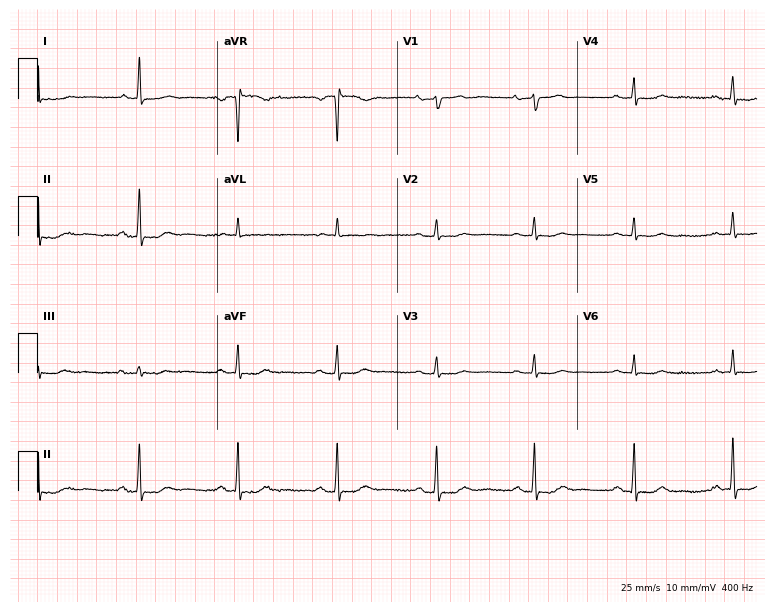
ECG (7.3-second recording at 400 Hz) — a female, 81 years old. Screened for six findings — first-degree AV block, right bundle branch block, left bundle branch block, sinus bradycardia, atrial fibrillation, sinus tachycardia — none is recorded.